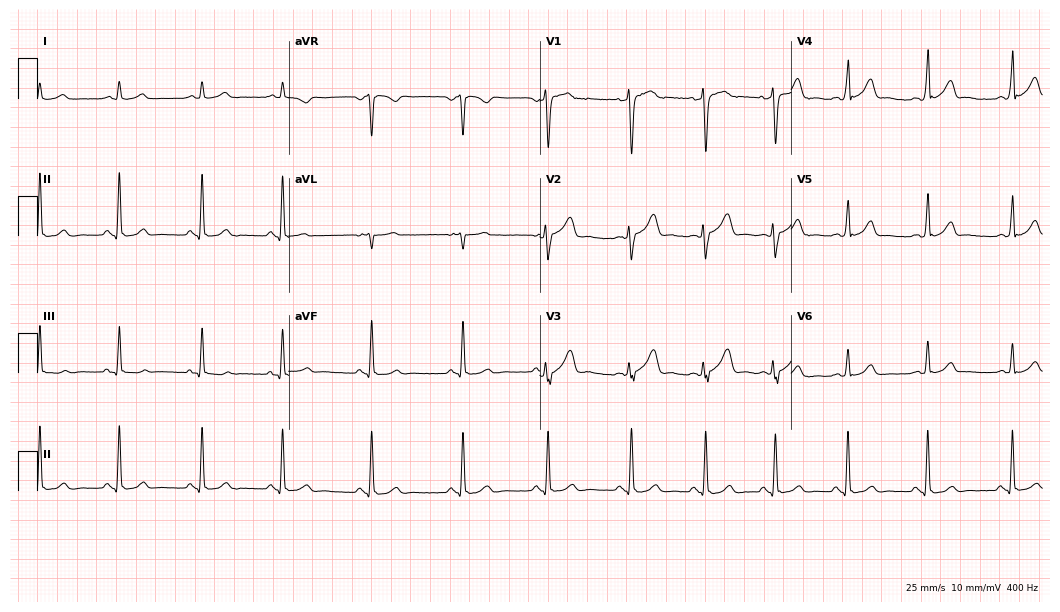
ECG (10.2-second recording at 400 Hz) — a male, 21 years old. Labelled as a normal ECG.